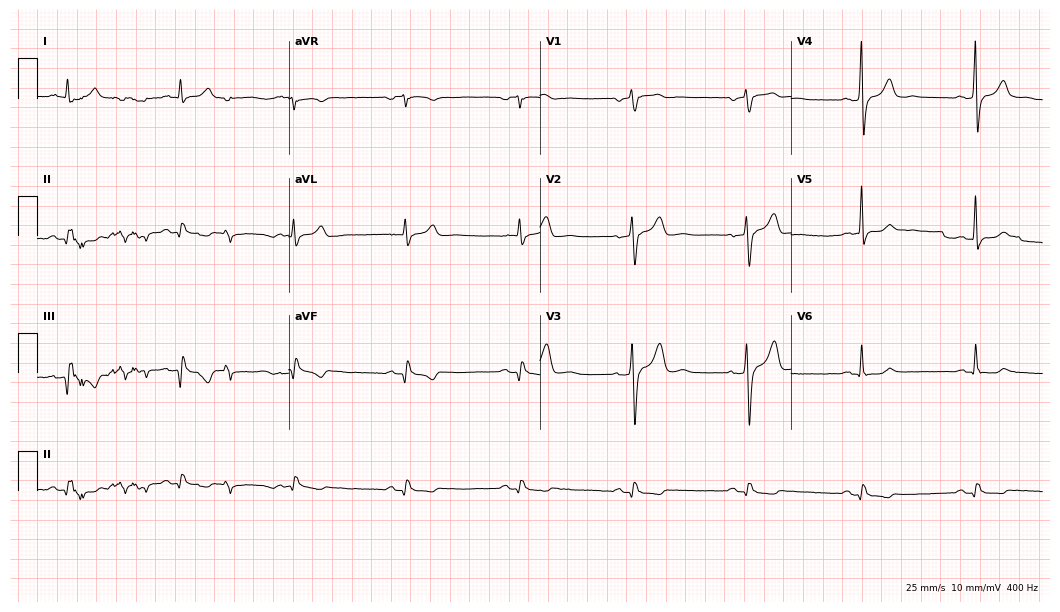
Electrocardiogram (10.2-second recording at 400 Hz), a man, 74 years old. Overall reading on record: normal ECG.